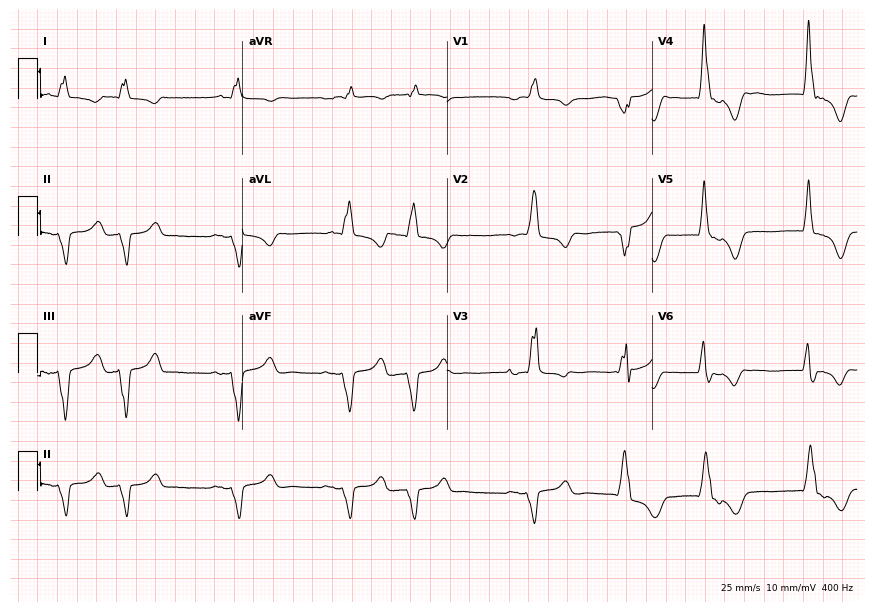
ECG (8.4-second recording at 400 Hz) — a 79-year-old male patient. Findings include right bundle branch block (RBBB).